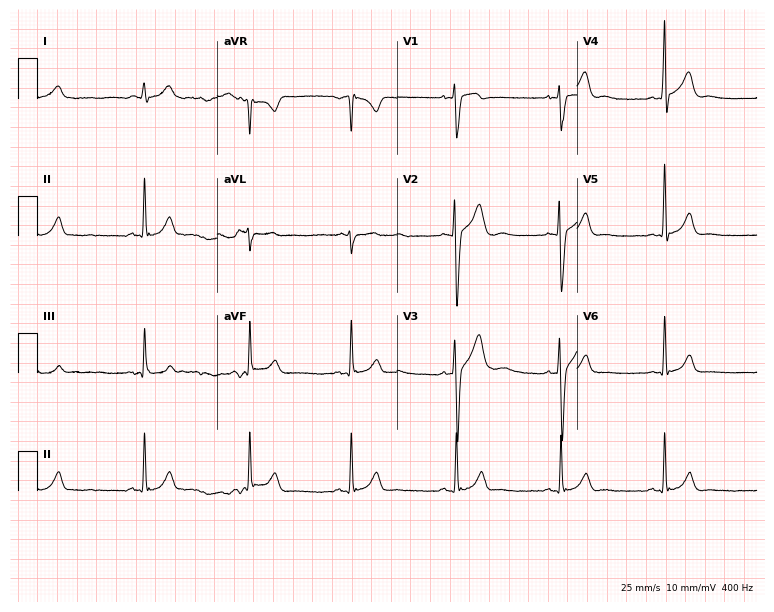
12-lead ECG from a man, 20 years old. Recorded interpretation: within normal limits.